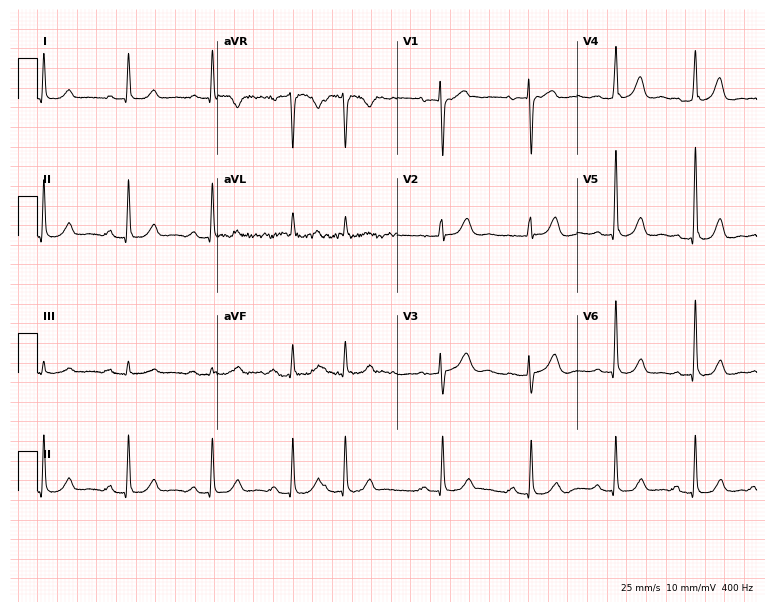
Resting 12-lead electrocardiogram (7.3-second recording at 400 Hz). Patient: an 81-year-old woman. None of these six findings is recorded: first-degree AV block, right bundle branch block, left bundle branch block, sinus bradycardia, atrial fibrillation, sinus tachycardia.